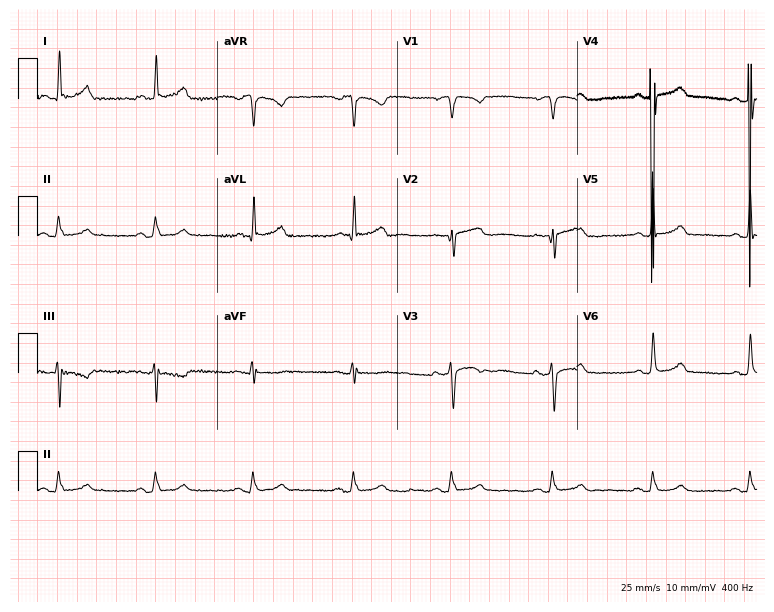
Standard 12-lead ECG recorded from a female, 67 years old (7.3-second recording at 400 Hz). None of these six findings is recorded: first-degree AV block, right bundle branch block (RBBB), left bundle branch block (LBBB), sinus bradycardia, atrial fibrillation (AF), sinus tachycardia.